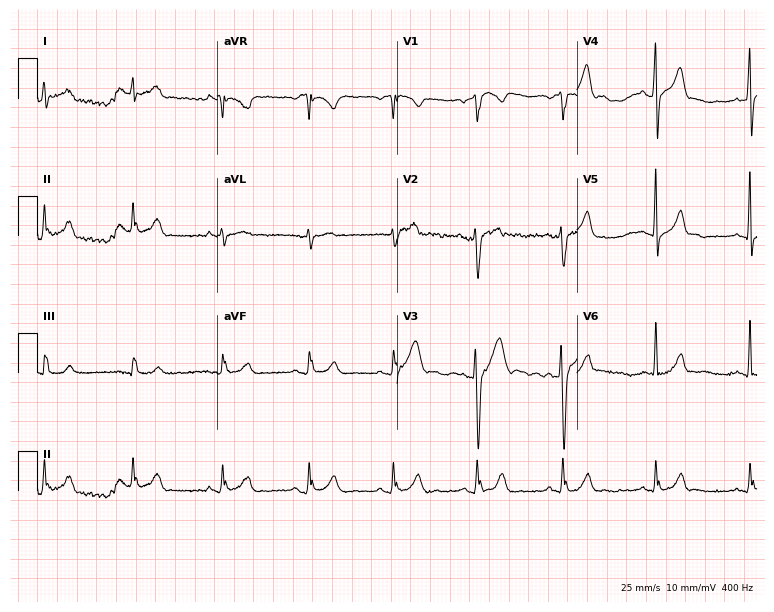
12-lead ECG from a man, 33 years old. Labelled as a normal ECG.